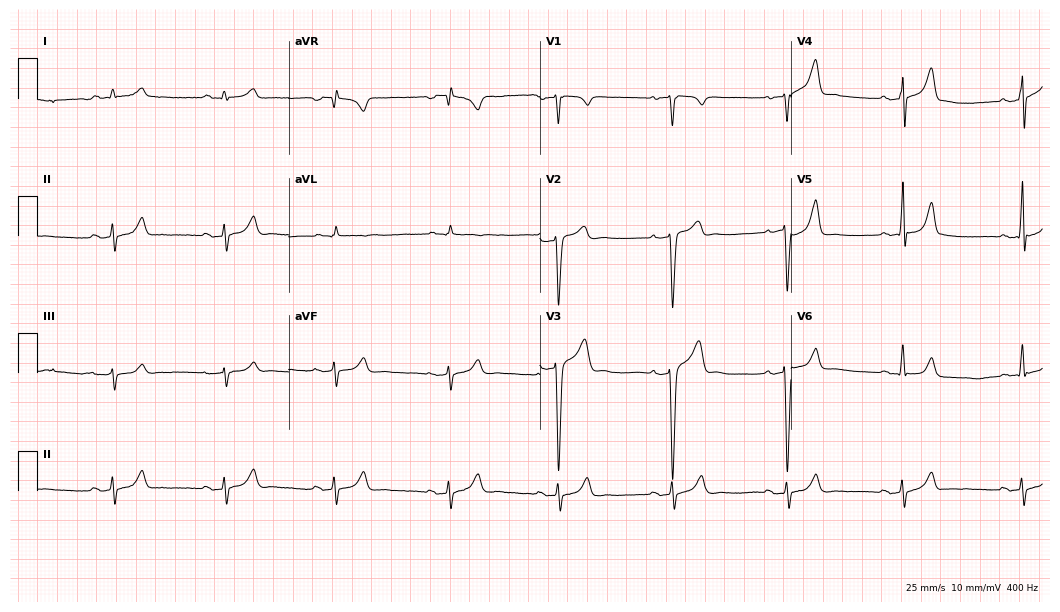
ECG (10.2-second recording at 400 Hz) — a 35-year-old man. Screened for six findings — first-degree AV block, right bundle branch block (RBBB), left bundle branch block (LBBB), sinus bradycardia, atrial fibrillation (AF), sinus tachycardia — none is recorded.